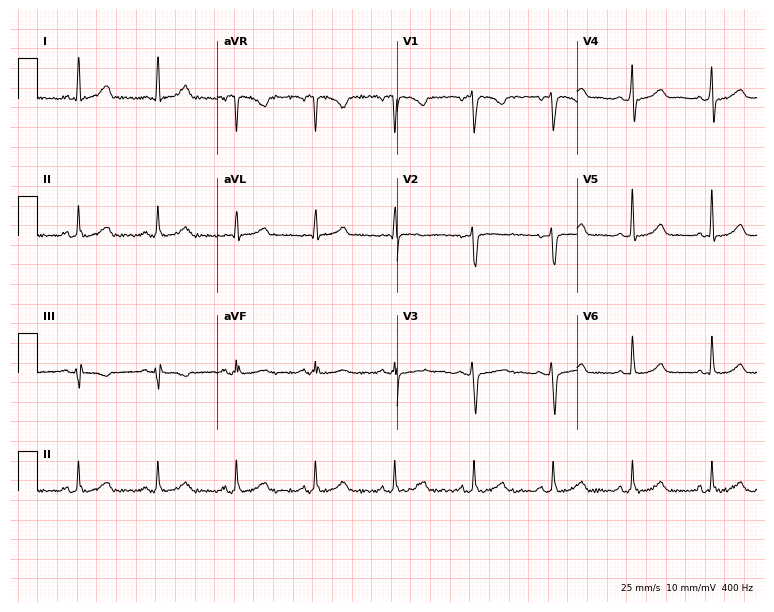
12-lead ECG from a female patient, 41 years old (7.3-second recording at 400 Hz). Recorded interpretation: within normal limits.